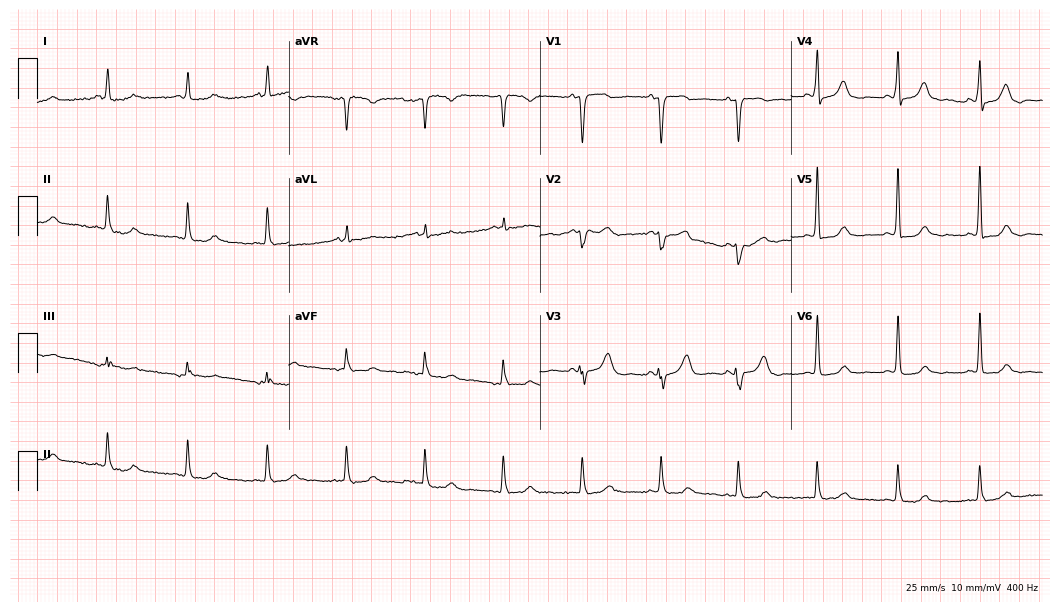
Electrocardiogram (10.2-second recording at 400 Hz), a female, 81 years old. Of the six screened findings (first-degree AV block, right bundle branch block (RBBB), left bundle branch block (LBBB), sinus bradycardia, atrial fibrillation (AF), sinus tachycardia), none is recorded.